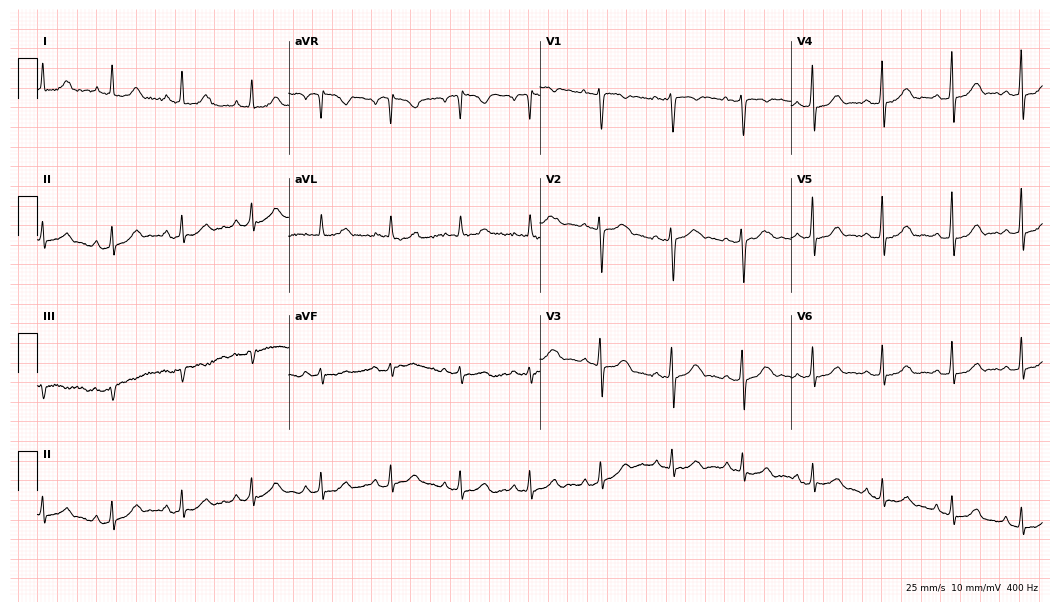
12-lead ECG (10.2-second recording at 400 Hz) from a 45-year-old female patient. Labelled as a normal ECG.